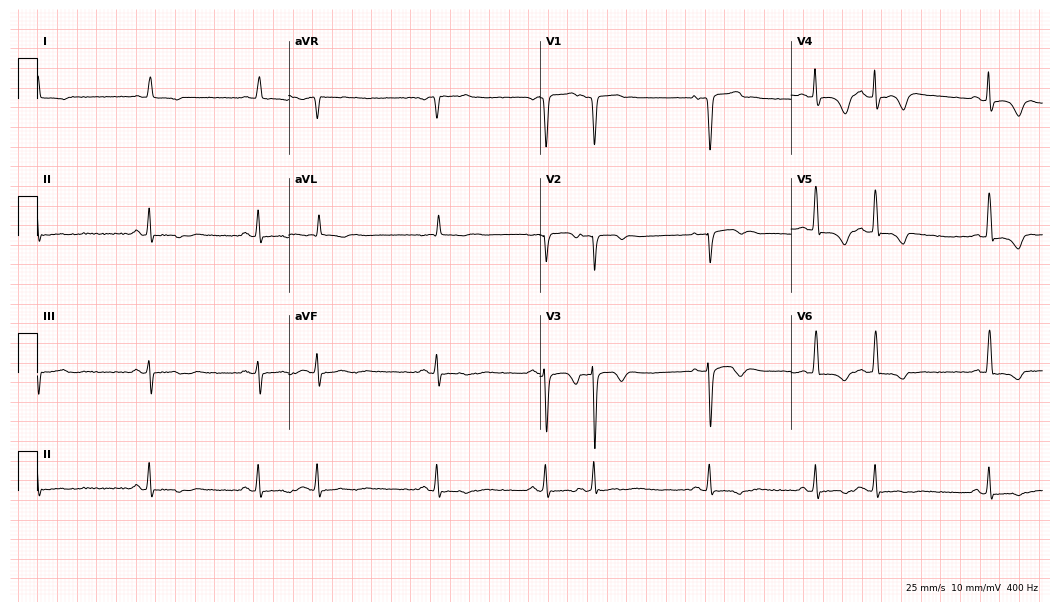
12-lead ECG (10.2-second recording at 400 Hz) from a 79-year-old male patient. Screened for six findings — first-degree AV block, right bundle branch block, left bundle branch block, sinus bradycardia, atrial fibrillation, sinus tachycardia — none is recorded.